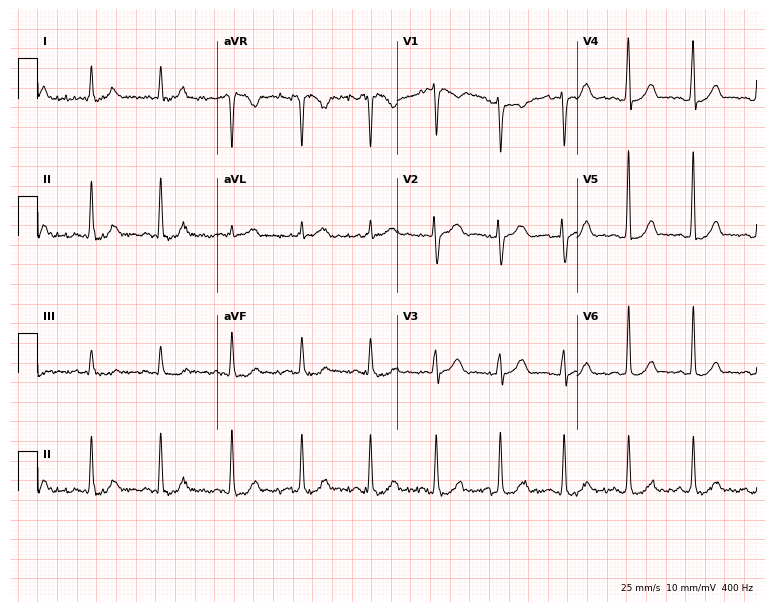
Resting 12-lead electrocardiogram. Patient: a 40-year-old woman. Read as a normal ECG.